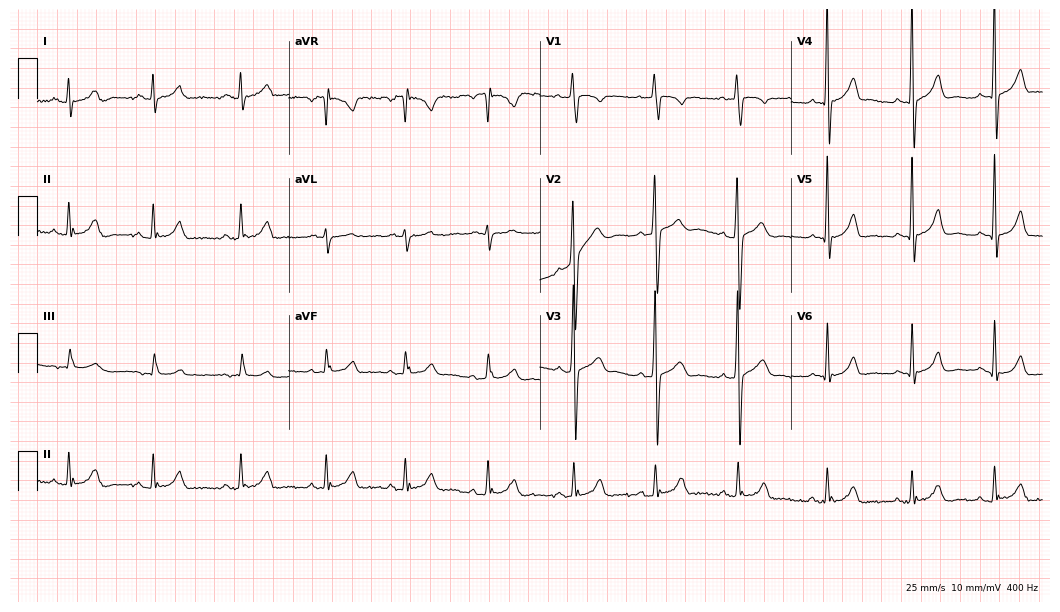
12-lead ECG from an 18-year-old man. Recorded interpretation: within normal limits.